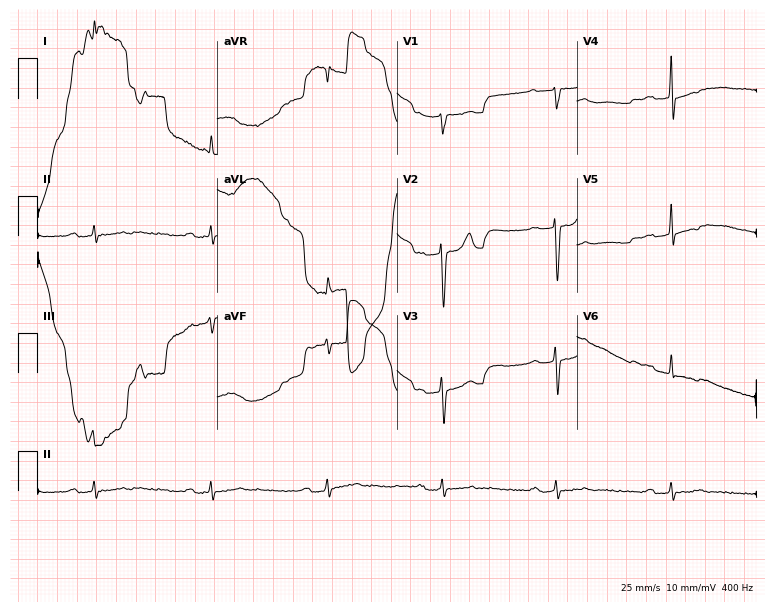
Standard 12-lead ECG recorded from an 84-year-old woman. None of these six findings is recorded: first-degree AV block, right bundle branch block, left bundle branch block, sinus bradycardia, atrial fibrillation, sinus tachycardia. Other findings, if any, are not listed.